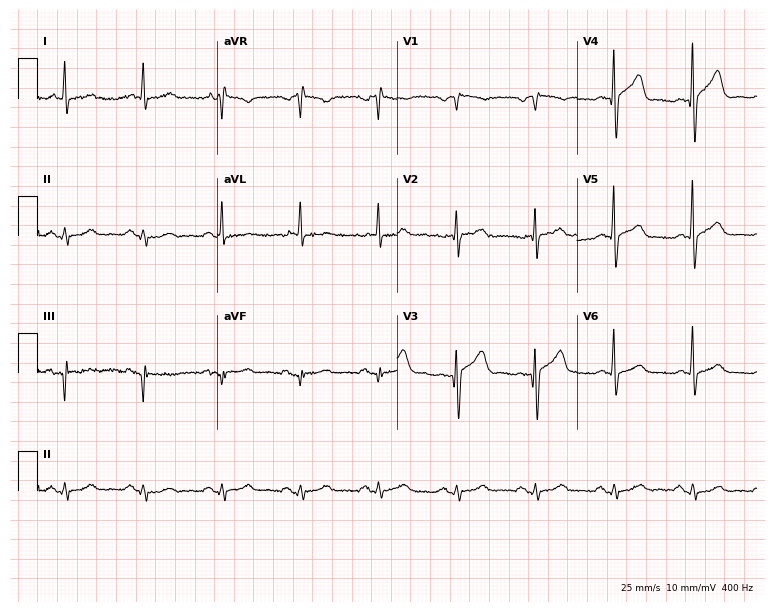
ECG — an 84-year-old female patient. Screened for six findings — first-degree AV block, right bundle branch block, left bundle branch block, sinus bradycardia, atrial fibrillation, sinus tachycardia — none is recorded. Other findings, if any, are not listed.